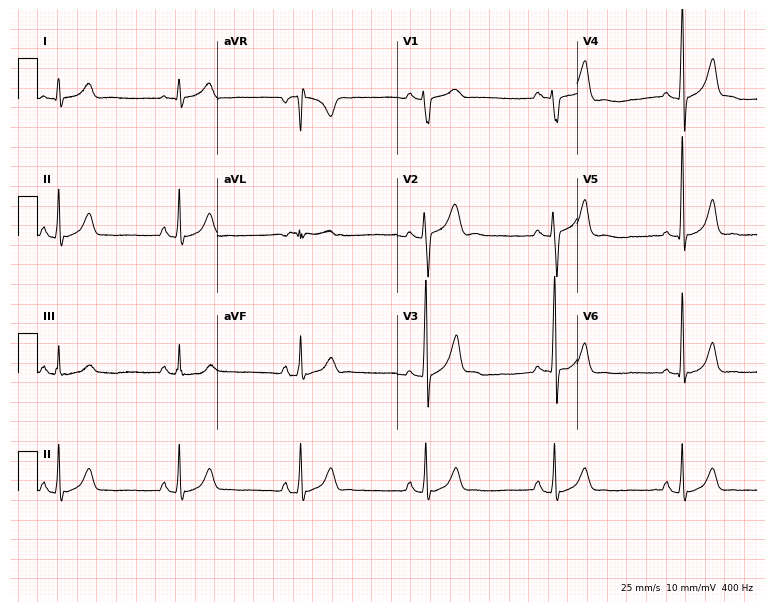
Standard 12-lead ECG recorded from a male, 18 years old (7.3-second recording at 400 Hz). The tracing shows sinus bradycardia (a sinus rate of 50 beats per minute or less).